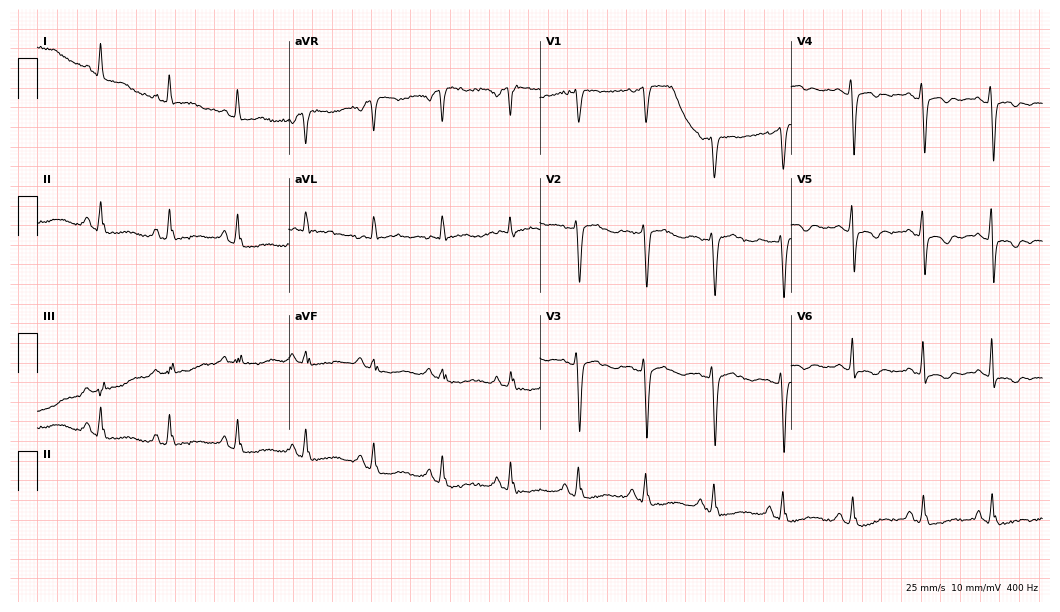
Standard 12-lead ECG recorded from a 59-year-old female (10.2-second recording at 400 Hz). None of these six findings is recorded: first-degree AV block, right bundle branch block, left bundle branch block, sinus bradycardia, atrial fibrillation, sinus tachycardia.